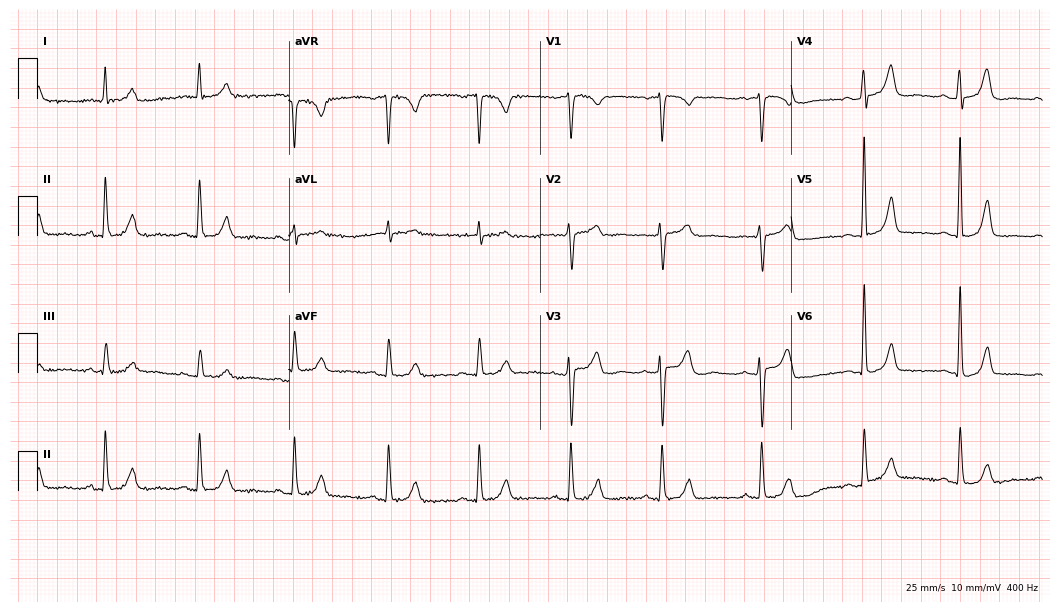
12-lead ECG from a female patient, 72 years old (10.2-second recording at 400 Hz). Recorded interpretation: within normal limits.